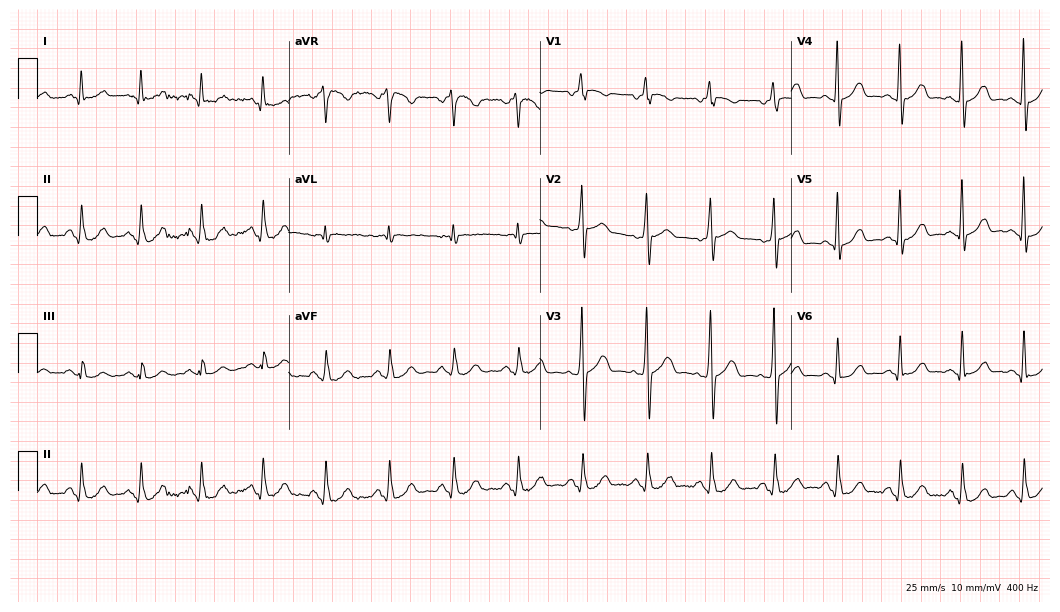
12-lead ECG from a 59-year-old female patient. Labelled as a normal ECG.